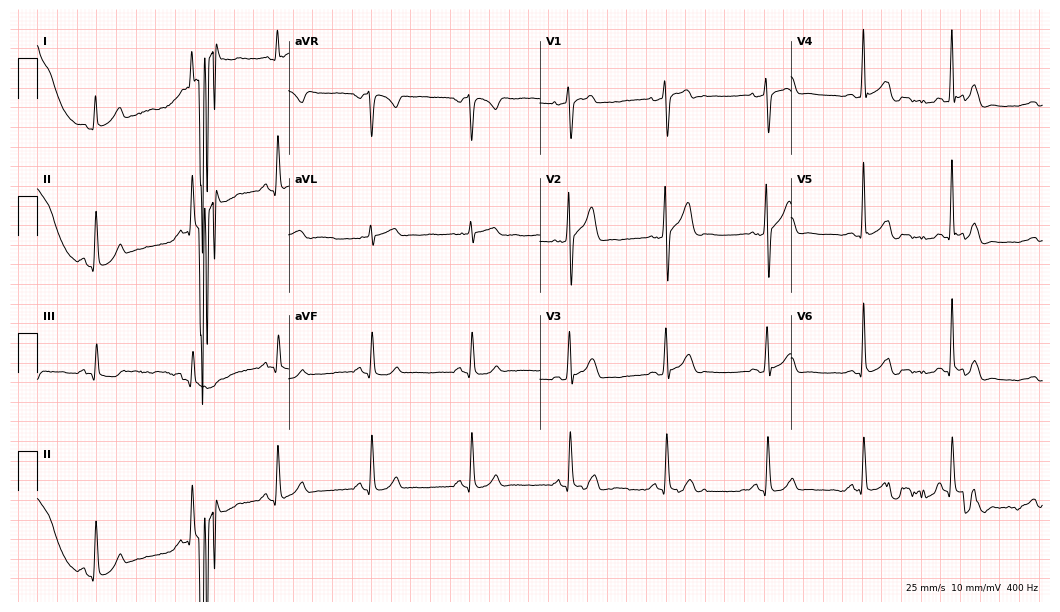
Resting 12-lead electrocardiogram. Patient: a 31-year-old male. None of these six findings is recorded: first-degree AV block, right bundle branch block, left bundle branch block, sinus bradycardia, atrial fibrillation, sinus tachycardia.